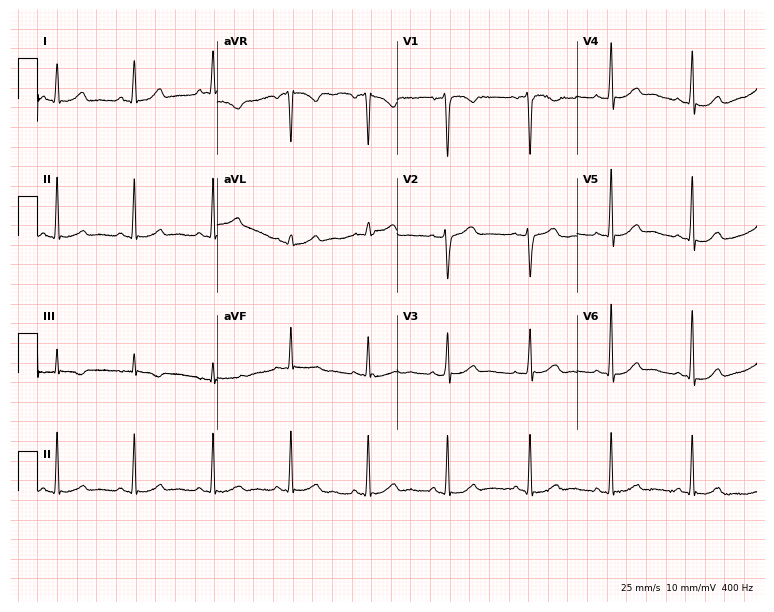
12-lead ECG from a female patient, 39 years old. Recorded interpretation: within normal limits.